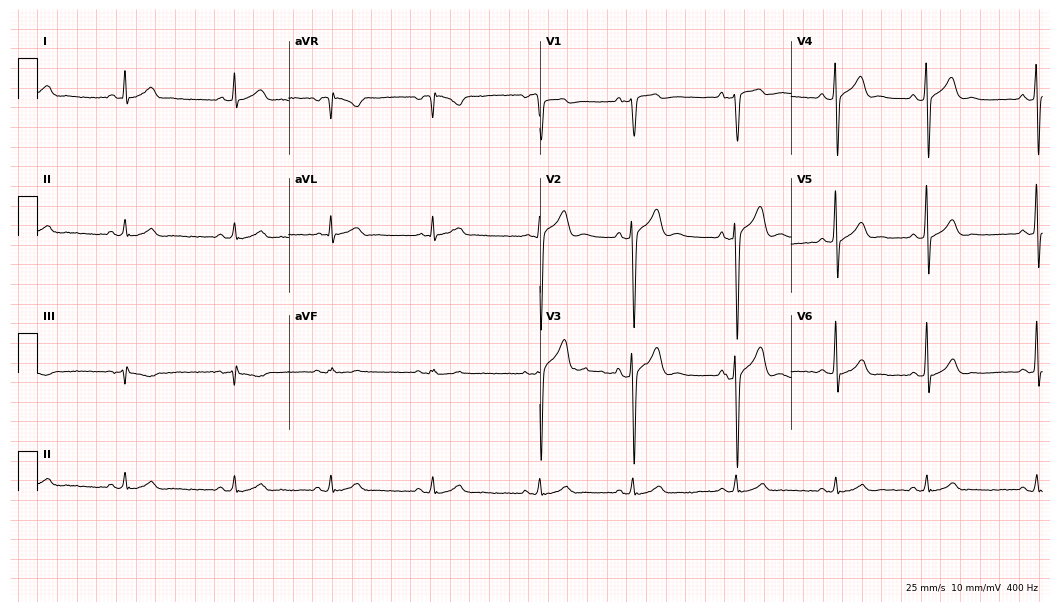
12-lead ECG from a man, 35 years old. Recorded interpretation: within normal limits.